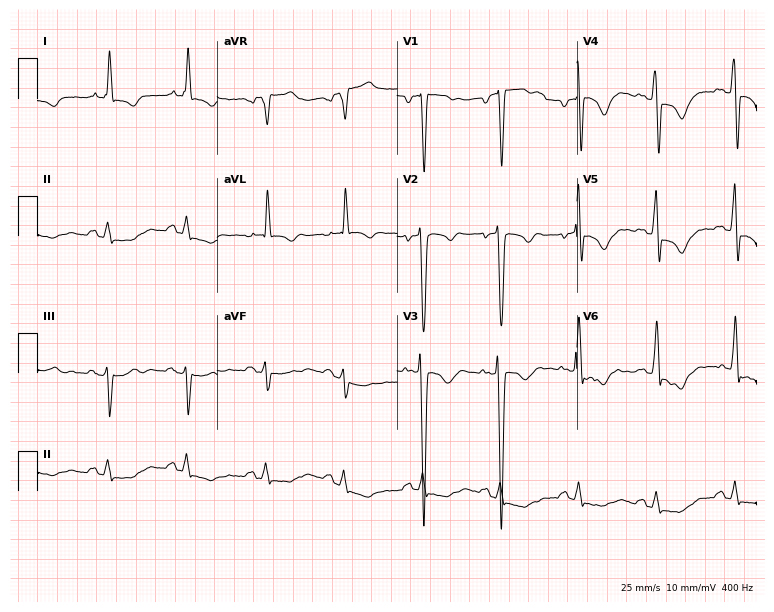
Resting 12-lead electrocardiogram (7.3-second recording at 400 Hz). Patient: a male, 57 years old. None of these six findings is recorded: first-degree AV block, right bundle branch block, left bundle branch block, sinus bradycardia, atrial fibrillation, sinus tachycardia. Only these six findings were labelled.